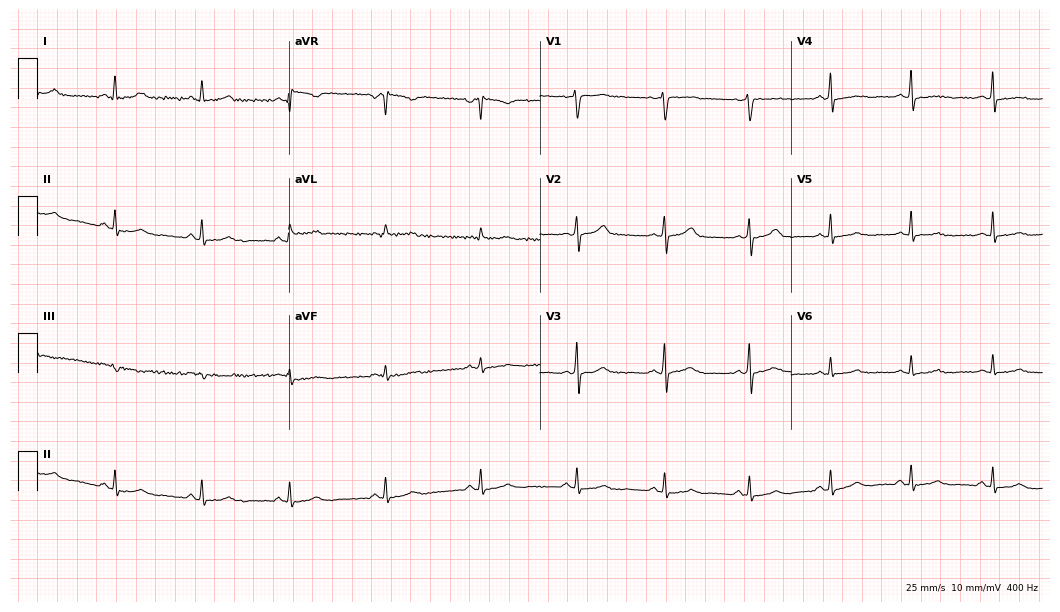
12-lead ECG from a 45-year-old female patient. Labelled as a normal ECG.